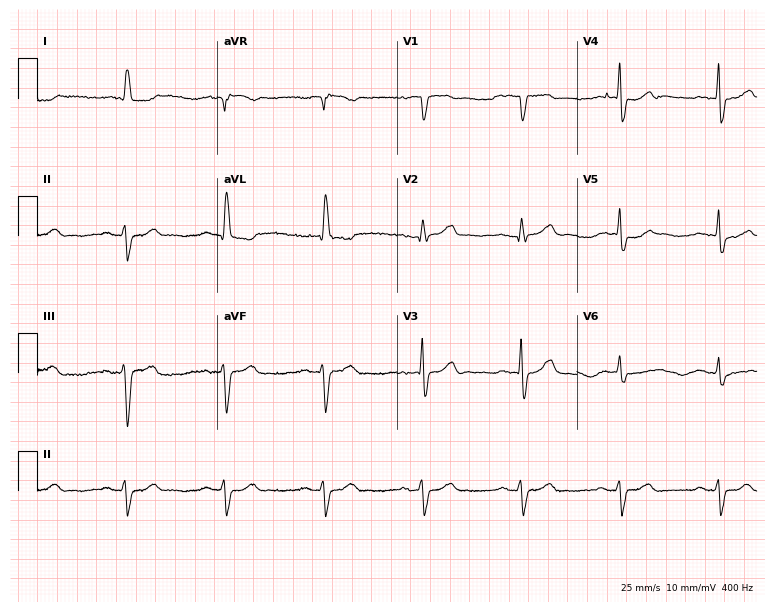
12-lead ECG (7.3-second recording at 400 Hz) from a man, 83 years old. Screened for six findings — first-degree AV block, right bundle branch block (RBBB), left bundle branch block (LBBB), sinus bradycardia, atrial fibrillation (AF), sinus tachycardia — none is recorded. Only these six findings were labelled.